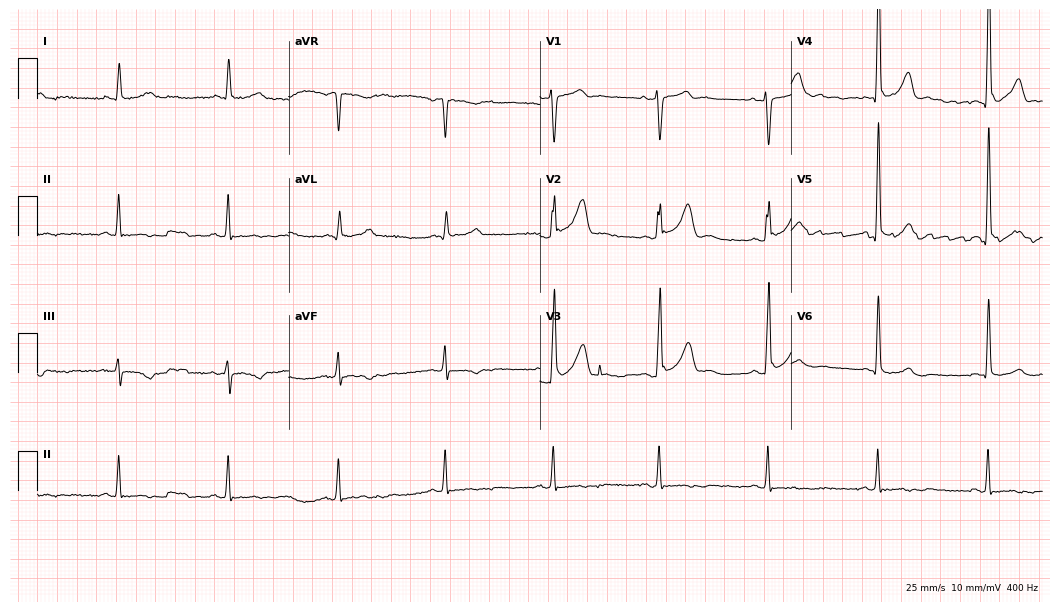
12-lead ECG from a 61-year-old man (10.2-second recording at 400 Hz). No first-degree AV block, right bundle branch block (RBBB), left bundle branch block (LBBB), sinus bradycardia, atrial fibrillation (AF) or sinus tachycardia recorded for this tracing. Findings outside these six are not listed.